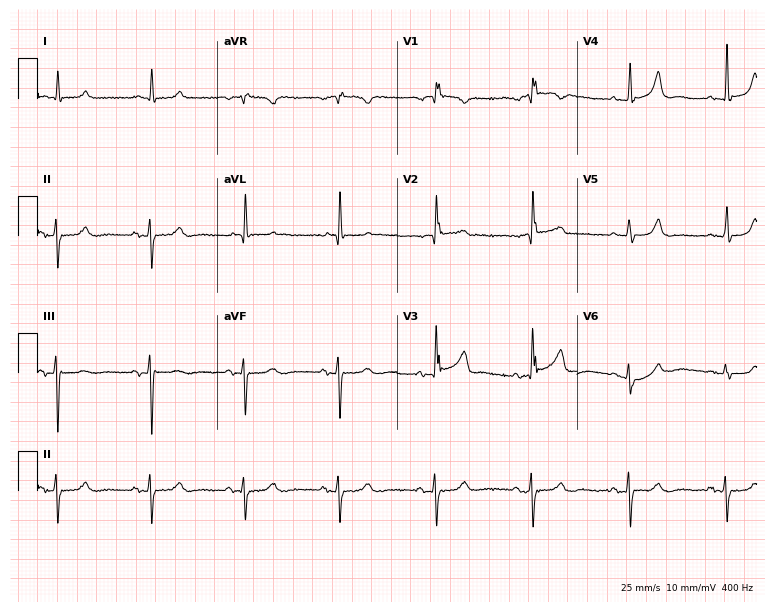
Electrocardiogram, a male, 79 years old. Of the six screened findings (first-degree AV block, right bundle branch block (RBBB), left bundle branch block (LBBB), sinus bradycardia, atrial fibrillation (AF), sinus tachycardia), none is recorded.